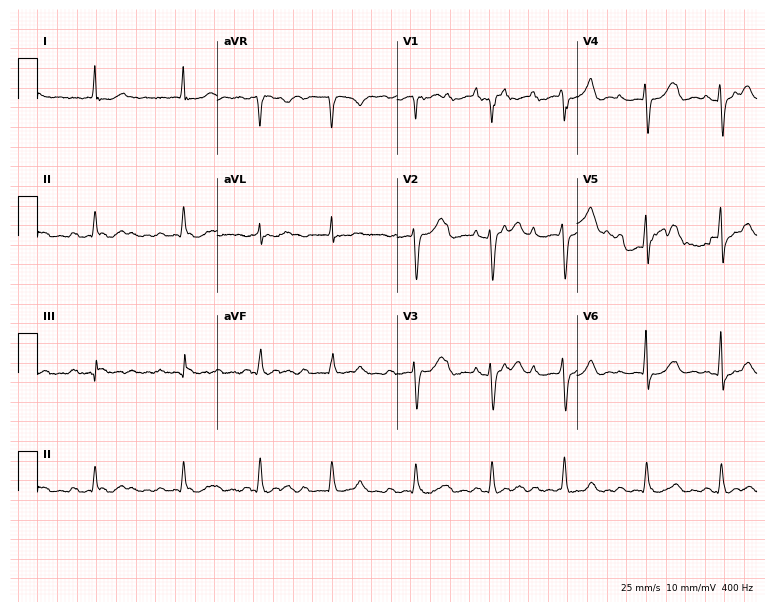
12-lead ECG from a 75-year-old male (7.3-second recording at 400 Hz). Shows atrial fibrillation.